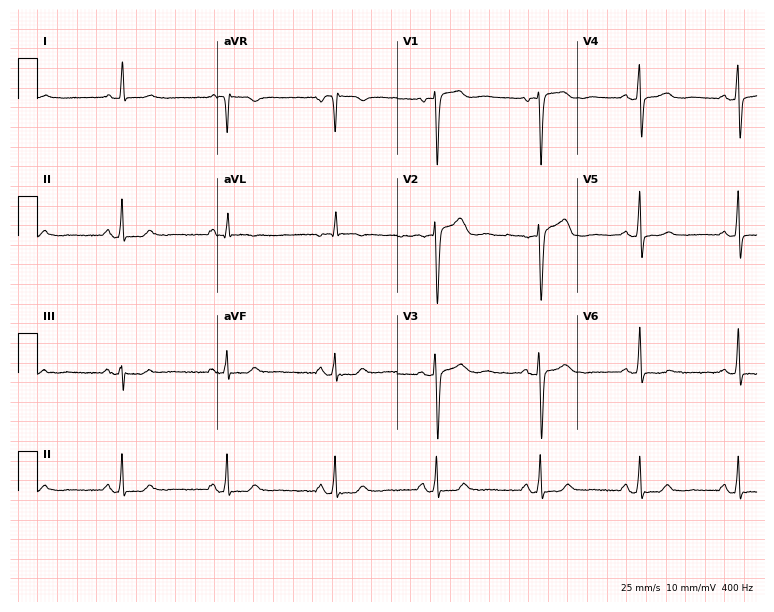
ECG — a female, 69 years old. Screened for six findings — first-degree AV block, right bundle branch block, left bundle branch block, sinus bradycardia, atrial fibrillation, sinus tachycardia — none is recorded.